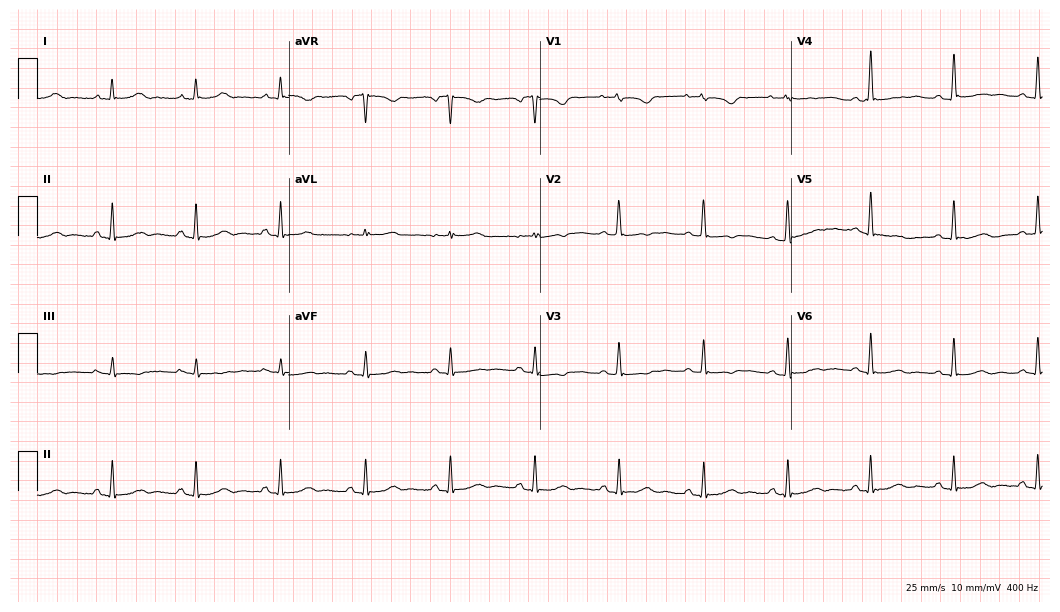
Resting 12-lead electrocardiogram. Patient: a female, 62 years old. None of these six findings is recorded: first-degree AV block, right bundle branch block, left bundle branch block, sinus bradycardia, atrial fibrillation, sinus tachycardia. Findings outside these six are not listed.